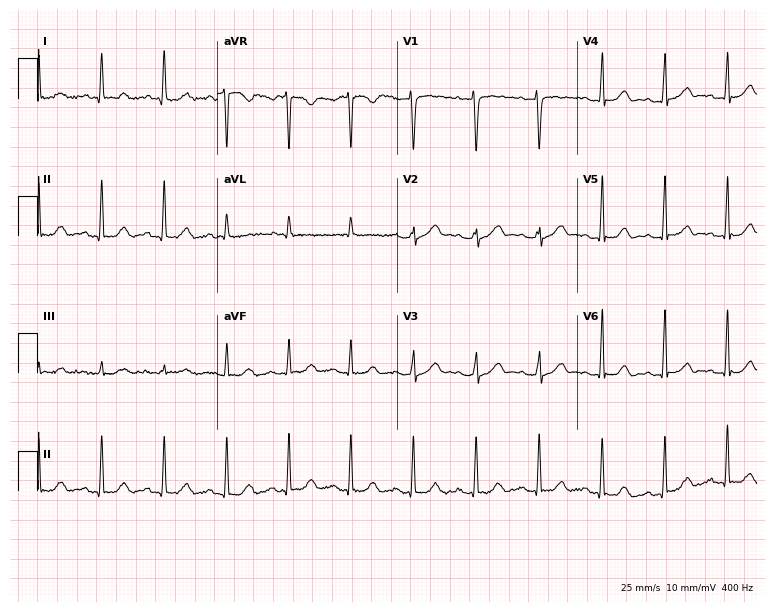
Electrocardiogram (7.3-second recording at 400 Hz), a woman, 44 years old. Overall reading on record: normal ECG.